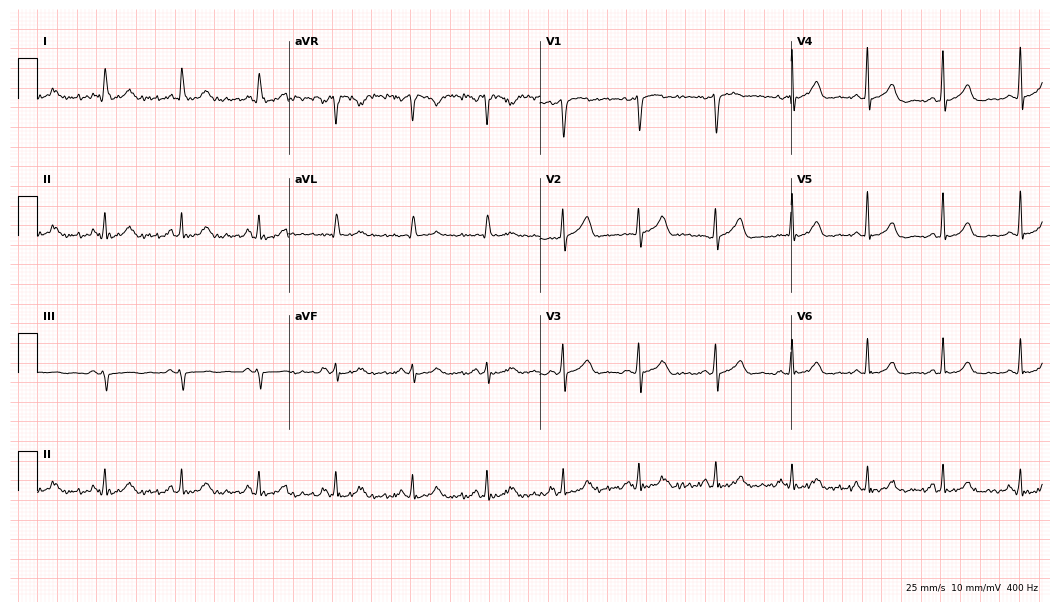
Standard 12-lead ECG recorded from a female patient, 57 years old. Read as a normal ECG.